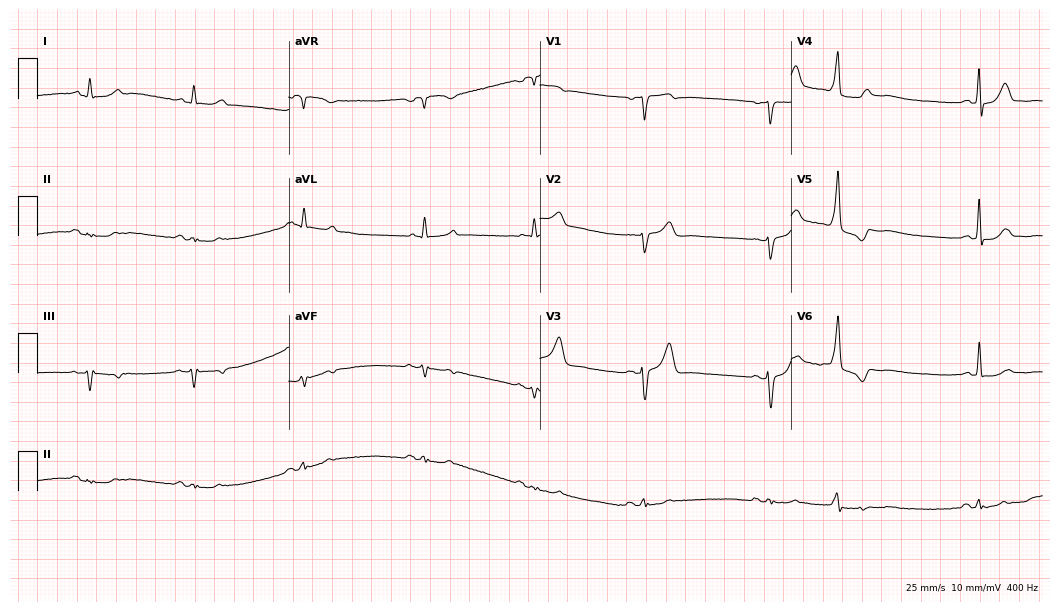
Resting 12-lead electrocardiogram. Patient: a male, 66 years old. None of these six findings is recorded: first-degree AV block, right bundle branch block, left bundle branch block, sinus bradycardia, atrial fibrillation, sinus tachycardia.